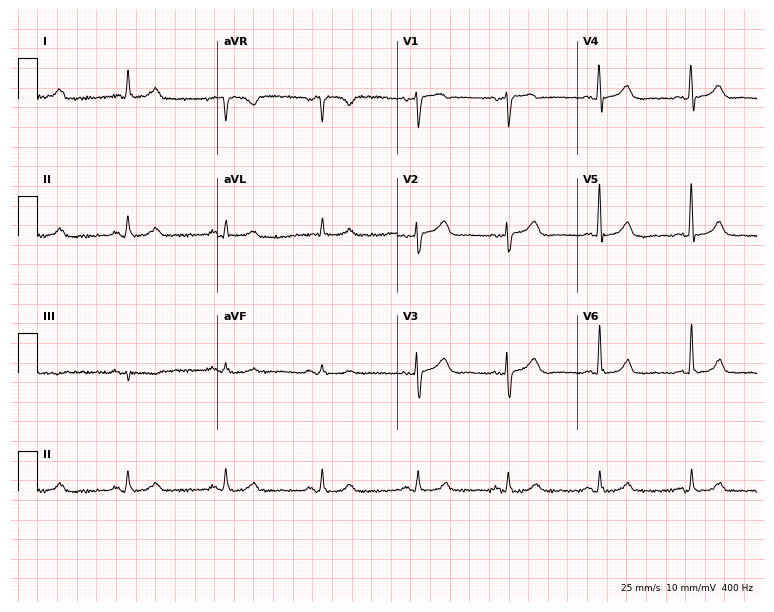
Standard 12-lead ECG recorded from a female, 66 years old. Read as a normal ECG.